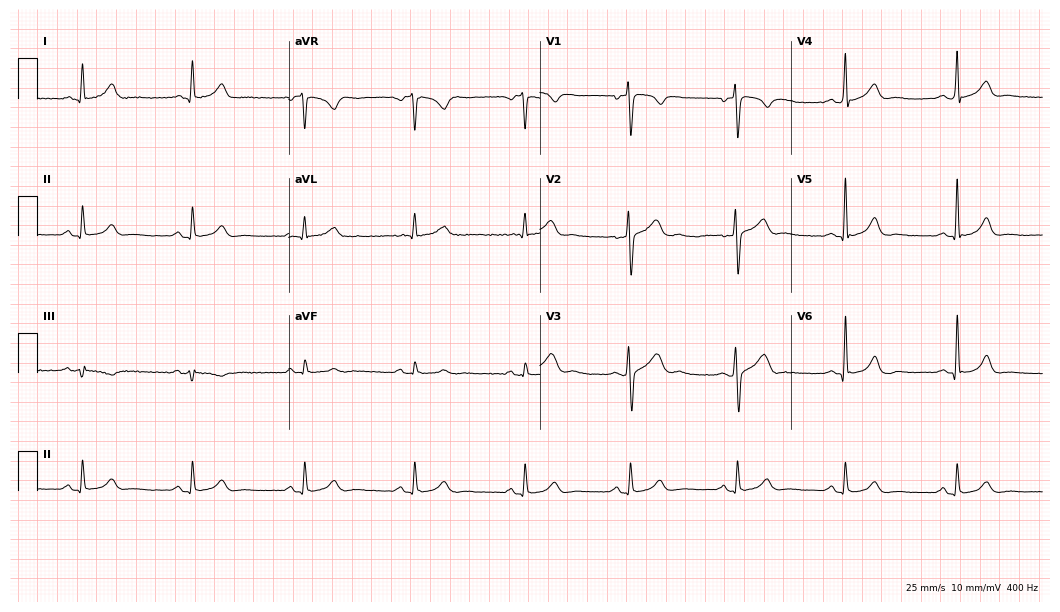
Standard 12-lead ECG recorded from a male patient, 31 years old (10.2-second recording at 400 Hz). Read as a normal ECG.